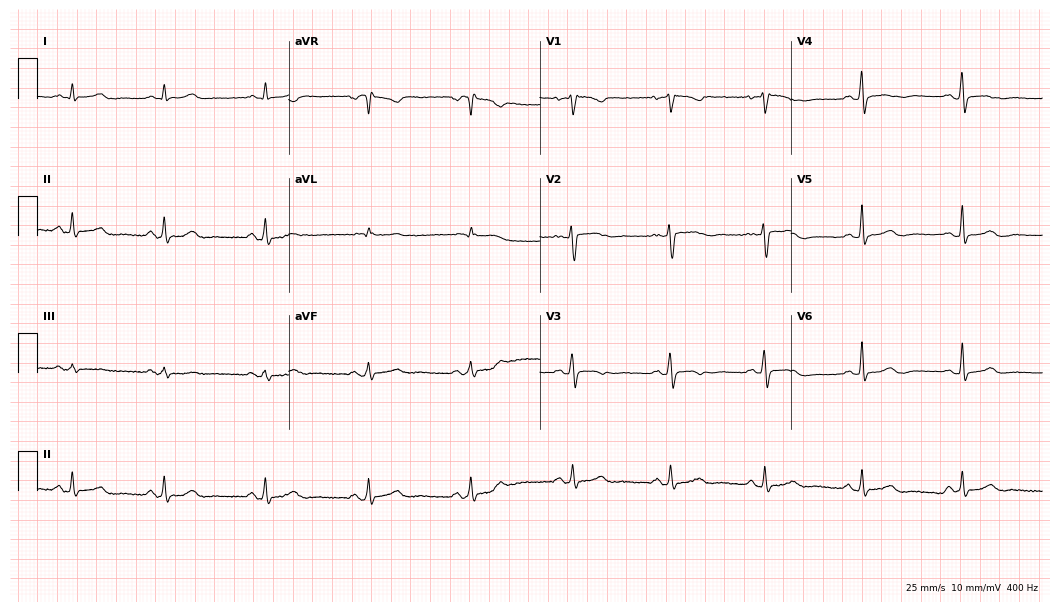
Electrocardiogram, a 45-year-old female patient. Overall reading on record: normal ECG.